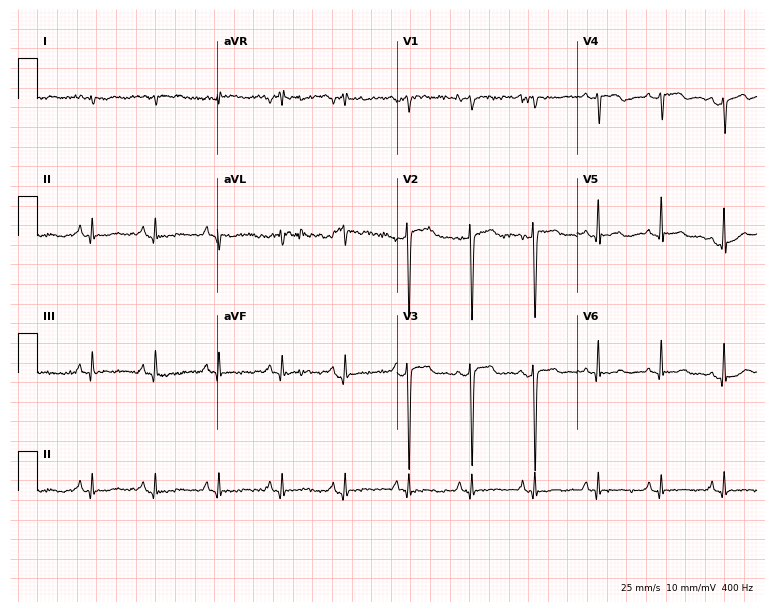
12-lead ECG from a 77-year-old female patient. Screened for six findings — first-degree AV block, right bundle branch block, left bundle branch block, sinus bradycardia, atrial fibrillation, sinus tachycardia — none is recorded. Findings outside these six are not listed.